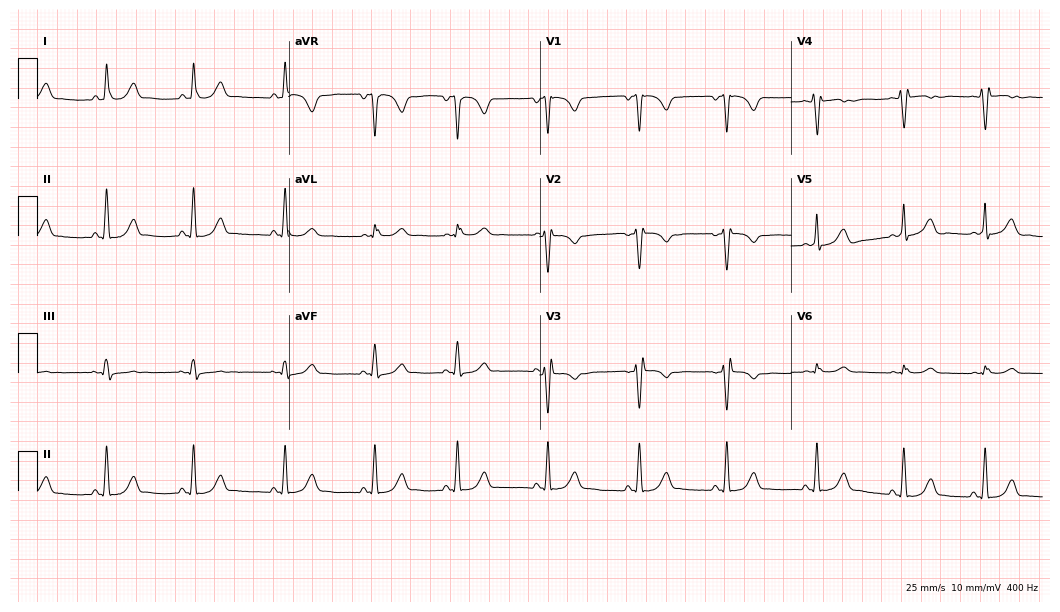
12-lead ECG (10.2-second recording at 400 Hz) from a 21-year-old woman. Screened for six findings — first-degree AV block, right bundle branch block, left bundle branch block, sinus bradycardia, atrial fibrillation, sinus tachycardia — none is recorded.